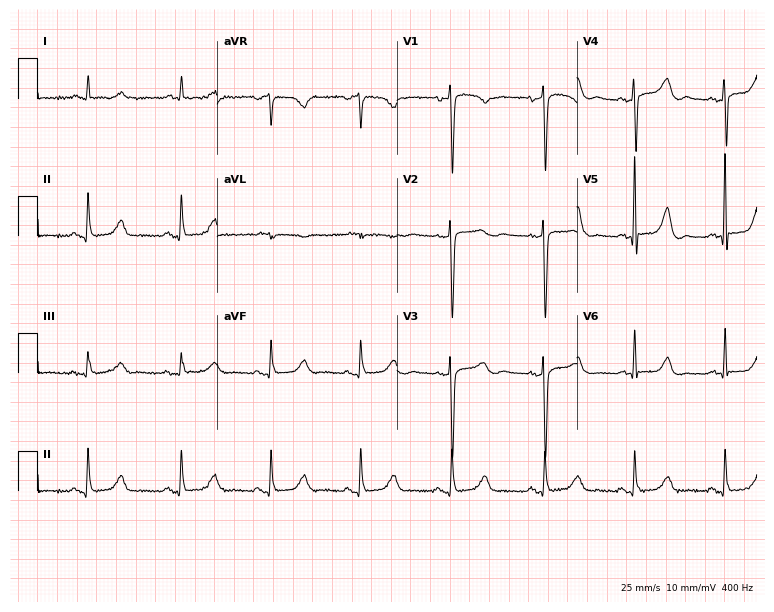
Electrocardiogram (7.3-second recording at 400 Hz), a female, 78 years old. Overall reading on record: normal ECG.